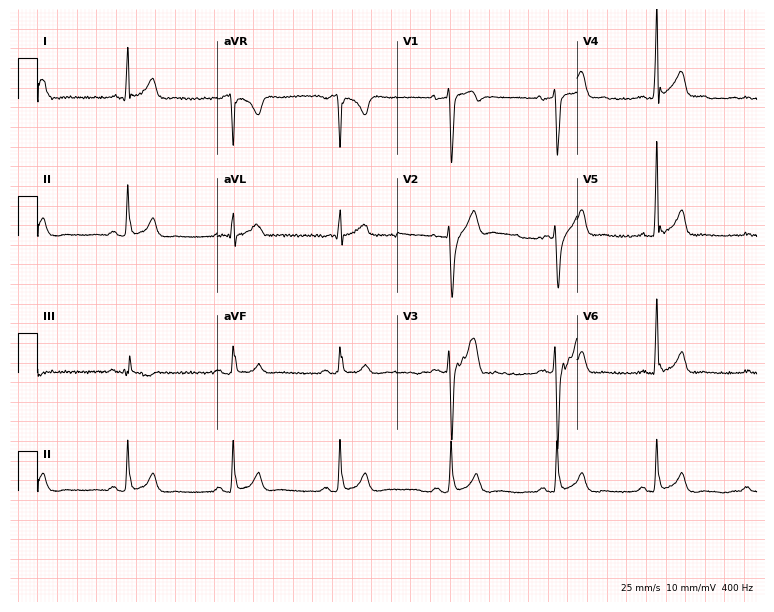
Standard 12-lead ECG recorded from a male, 29 years old. Read as a normal ECG.